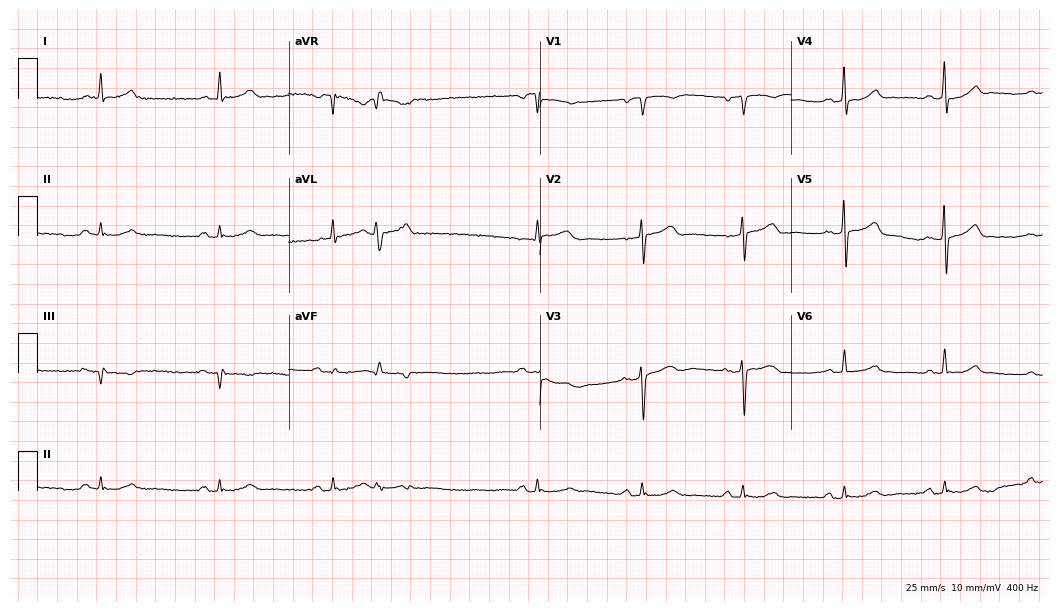
Resting 12-lead electrocardiogram (10.2-second recording at 400 Hz). Patient: a male, 80 years old. Read as a normal ECG.